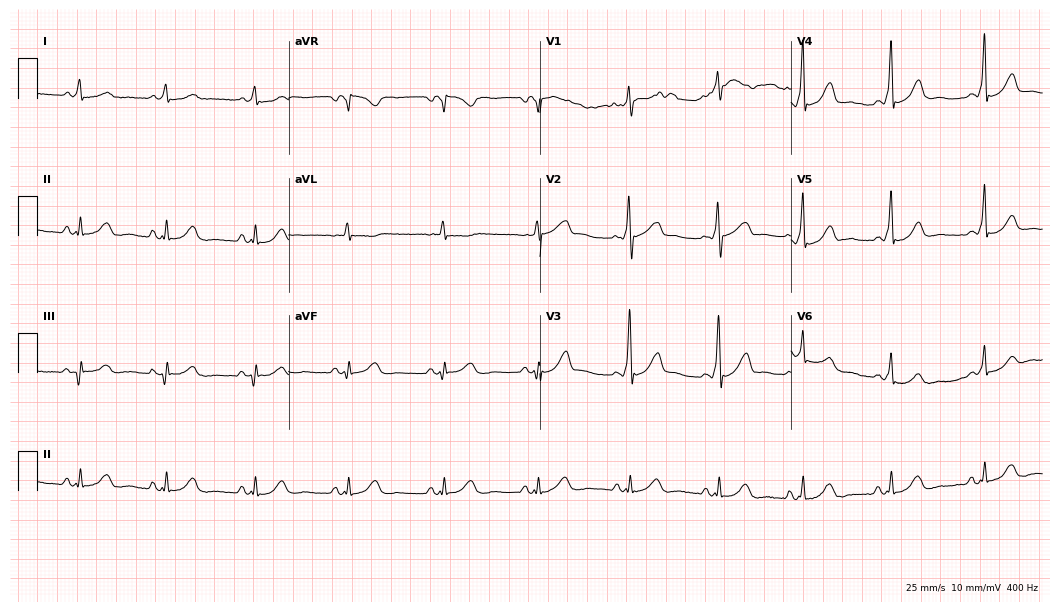
Standard 12-lead ECG recorded from a female, 52 years old (10.2-second recording at 400 Hz). None of these six findings is recorded: first-degree AV block, right bundle branch block (RBBB), left bundle branch block (LBBB), sinus bradycardia, atrial fibrillation (AF), sinus tachycardia.